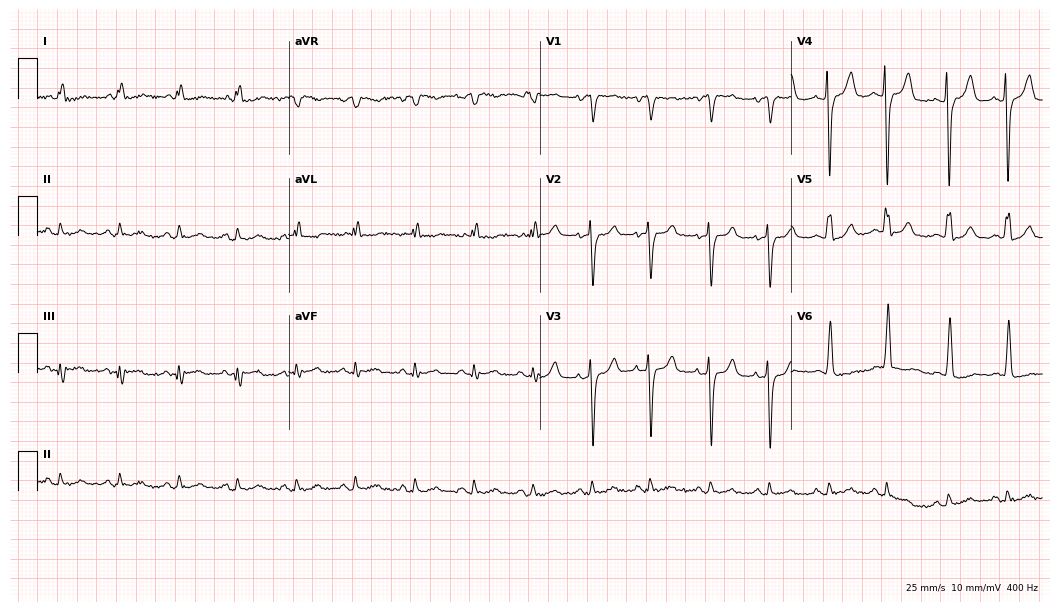
Resting 12-lead electrocardiogram. Patient: a female, 63 years old. None of these six findings is recorded: first-degree AV block, right bundle branch block, left bundle branch block, sinus bradycardia, atrial fibrillation, sinus tachycardia.